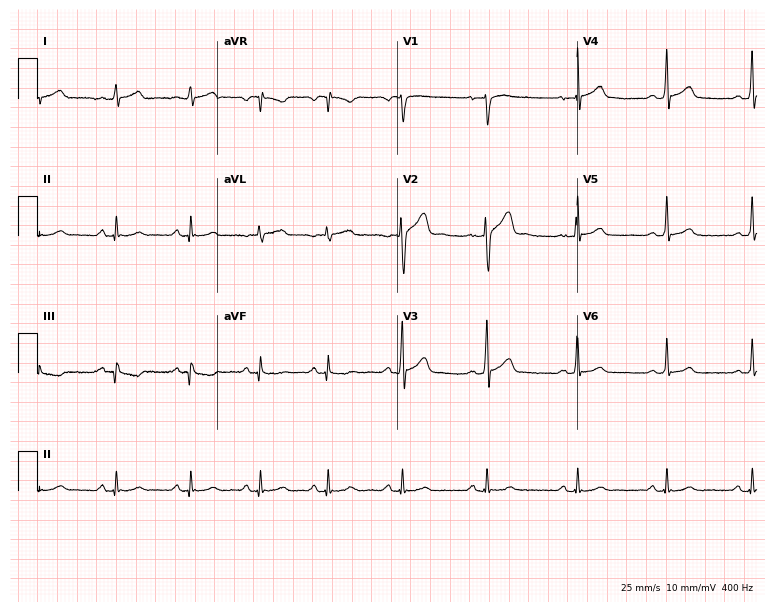
ECG (7.3-second recording at 400 Hz) — a male patient, 32 years old. Labelled as a normal ECG.